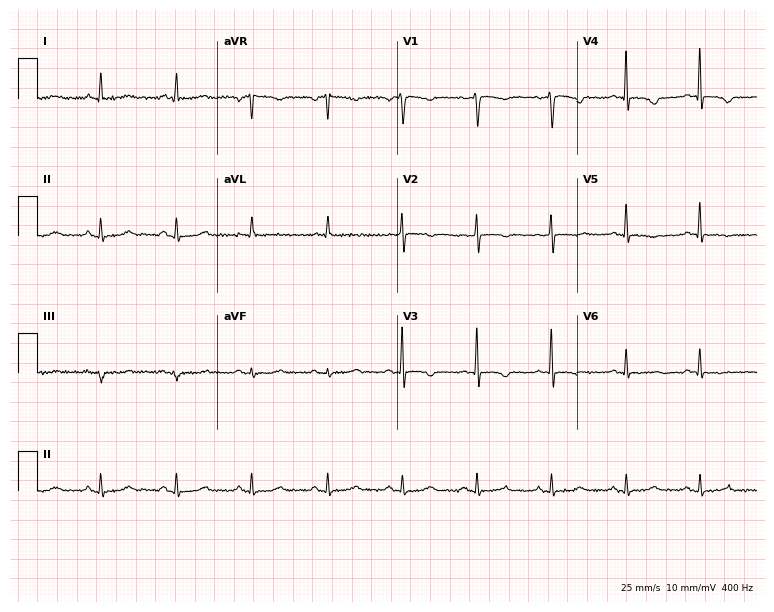
Resting 12-lead electrocardiogram. Patient: a female, 68 years old. None of these six findings is recorded: first-degree AV block, right bundle branch block (RBBB), left bundle branch block (LBBB), sinus bradycardia, atrial fibrillation (AF), sinus tachycardia. Other findings, if any, are not listed.